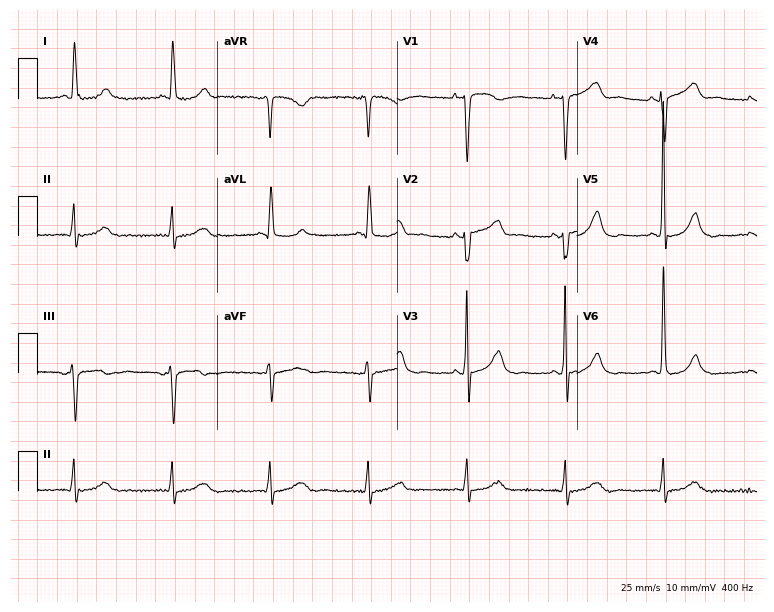
Resting 12-lead electrocardiogram. Patient: a woman, 84 years old. None of these six findings is recorded: first-degree AV block, right bundle branch block, left bundle branch block, sinus bradycardia, atrial fibrillation, sinus tachycardia.